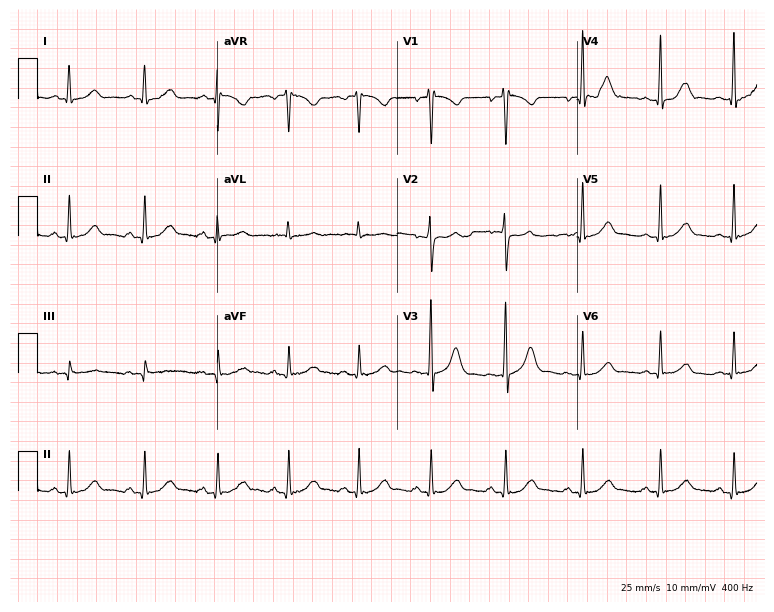
ECG (7.3-second recording at 400 Hz) — a 34-year-old male patient. Screened for six findings — first-degree AV block, right bundle branch block, left bundle branch block, sinus bradycardia, atrial fibrillation, sinus tachycardia — none is recorded. Findings outside these six are not listed.